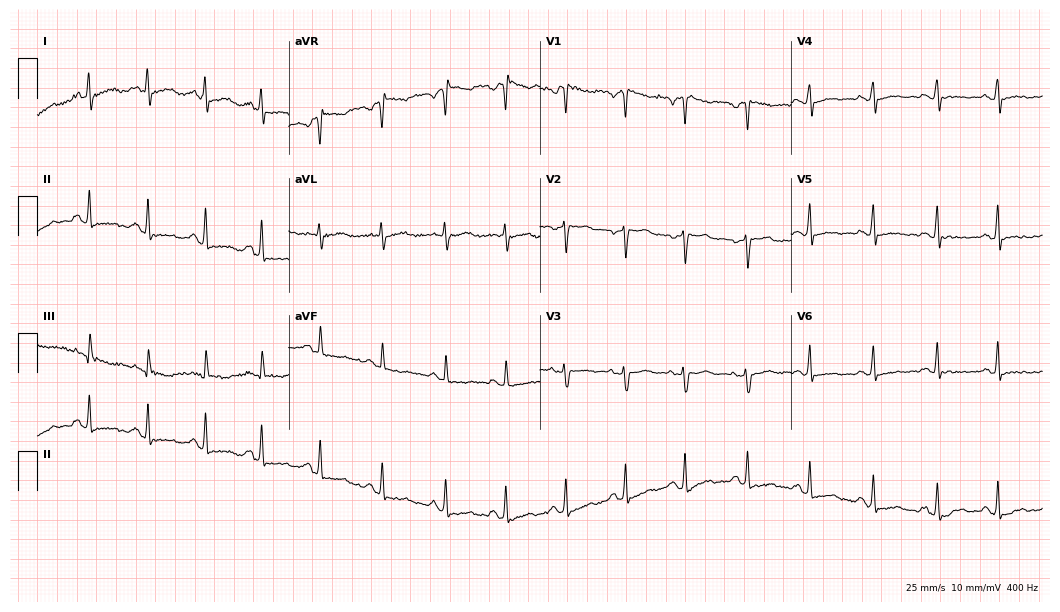
12-lead ECG from a female patient, 39 years old. No first-degree AV block, right bundle branch block (RBBB), left bundle branch block (LBBB), sinus bradycardia, atrial fibrillation (AF) or sinus tachycardia recorded for this tracing. Other findings, if any, are not listed.